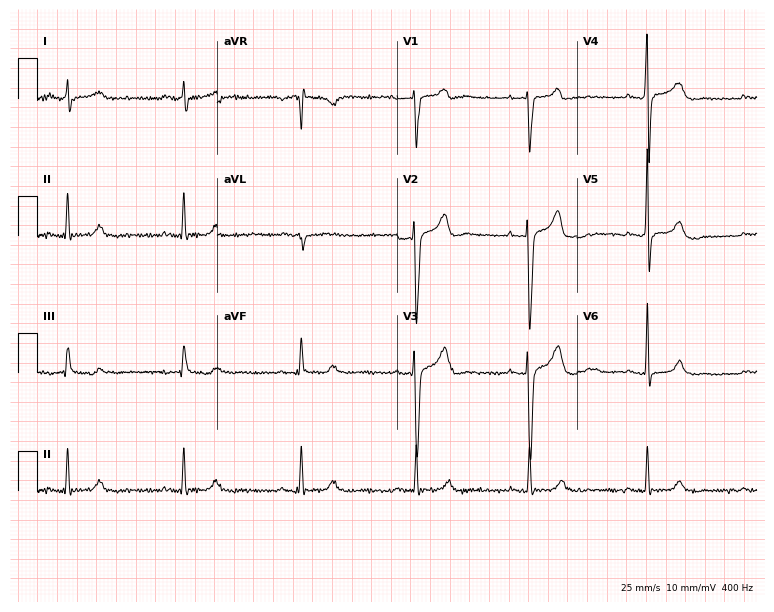
12-lead ECG from a 52-year-old male patient. No first-degree AV block, right bundle branch block (RBBB), left bundle branch block (LBBB), sinus bradycardia, atrial fibrillation (AF) or sinus tachycardia recorded for this tracing. Only these six findings were labelled.